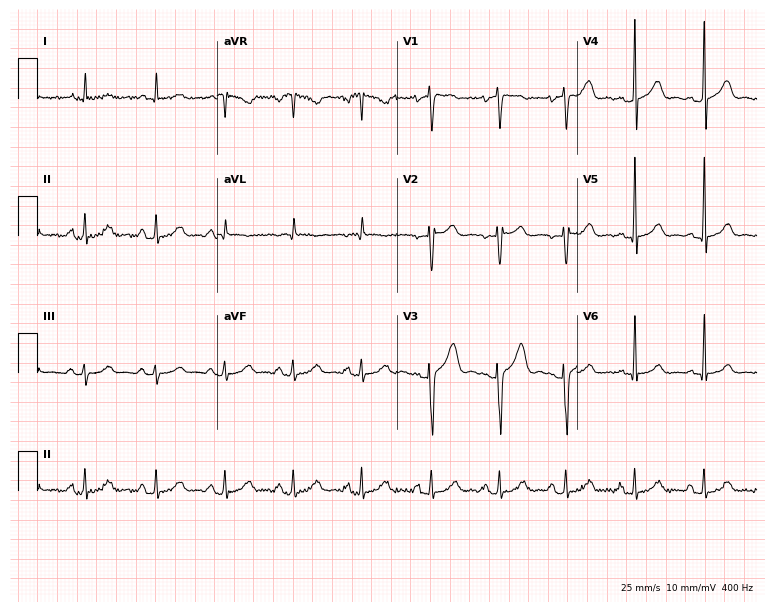
Resting 12-lead electrocardiogram. Patient: a man, 26 years old. Read as a normal ECG.